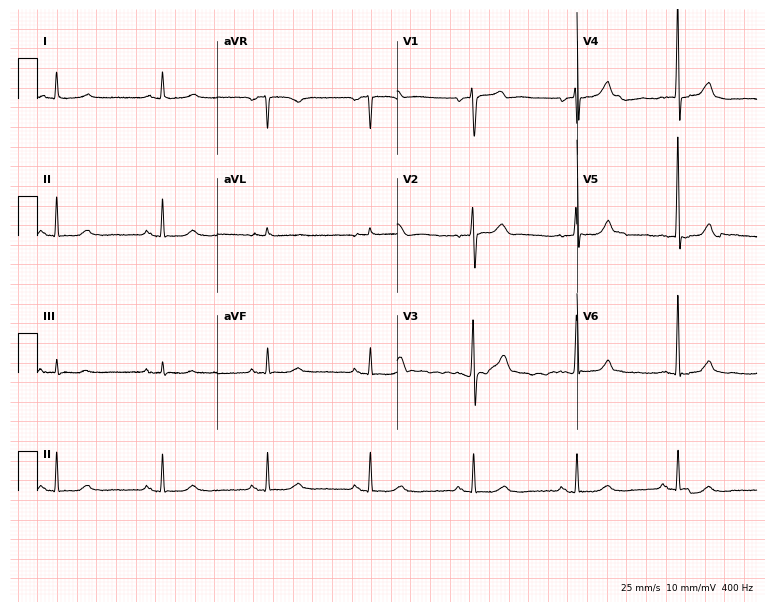
Electrocardiogram (7.3-second recording at 400 Hz), an 82-year-old male. Of the six screened findings (first-degree AV block, right bundle branch block, left bundle branch block, sinus bradycardia, atrial fibrillation, sinus tachycardia), none is recorded.